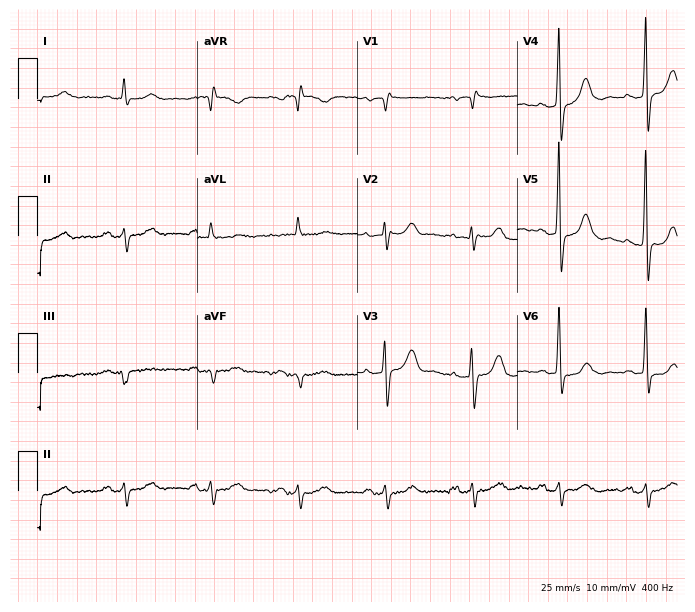
12-lead ECG from a male, 85 years old (6.5-second recording at 400 Hz). No first-degree AV block, right bundle branch block, left bundle branch block, sinus bradycardia, atrial fibrillation or sinus tachycardia recorded for this tracing. Other findings, if any, are not listed.